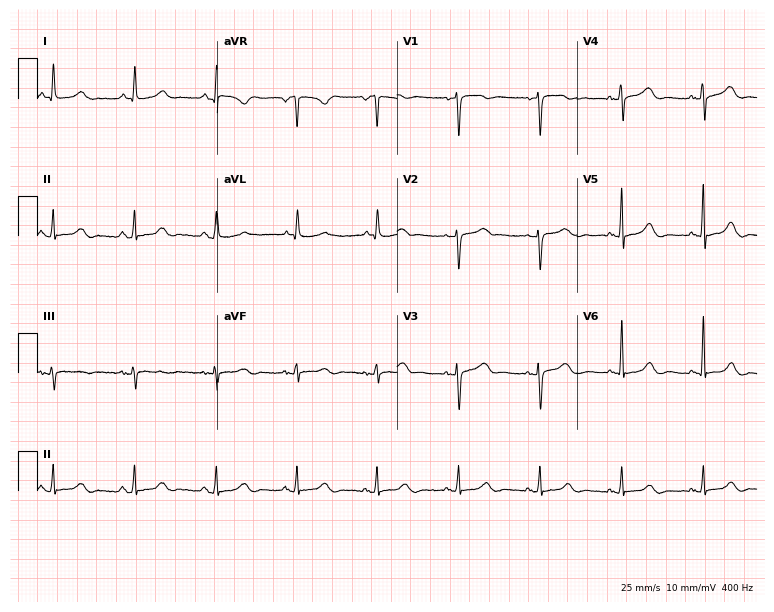
ECG (7.3-second recording at 400 Hz) — a female, 64 years old. Screened for six findings — first-degree AV block, right bundle branch block (RBBB), left bundle branch block (LBBB), sinus bradycardia, atrial fibrillation (AF), sinus tachycardia — none is recorded.